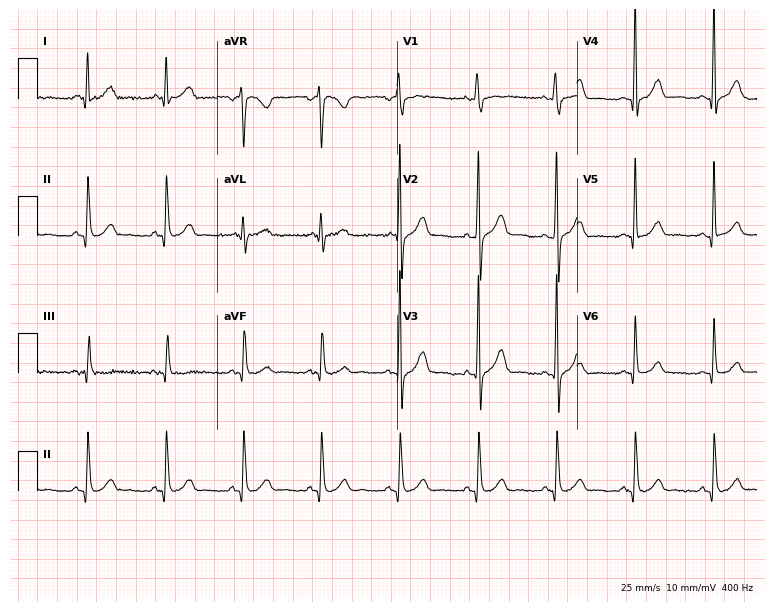
Electrocardiogram, a man, 42 years old. Overall reading on record: normal ECG.